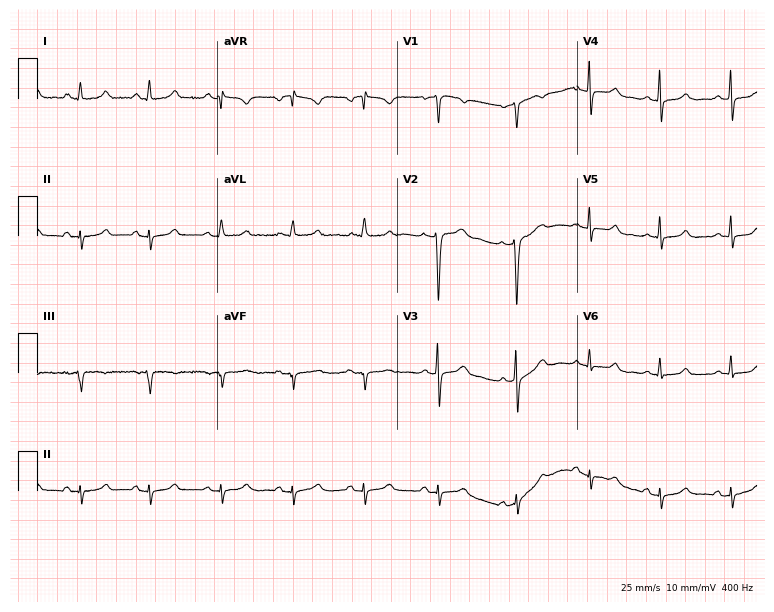
Electrocardiogram (7.3-second recording at 400 Hz), a female patient, 29 years old. Of the six screened findings (first-degree AV block, right bundle branch block (RBBB), left bundle branch block (LBBB), sinus bradycardia, atrial fibrillation (AF), sinus tachycardia), none is recorded. Other findings, if any, are not listed.